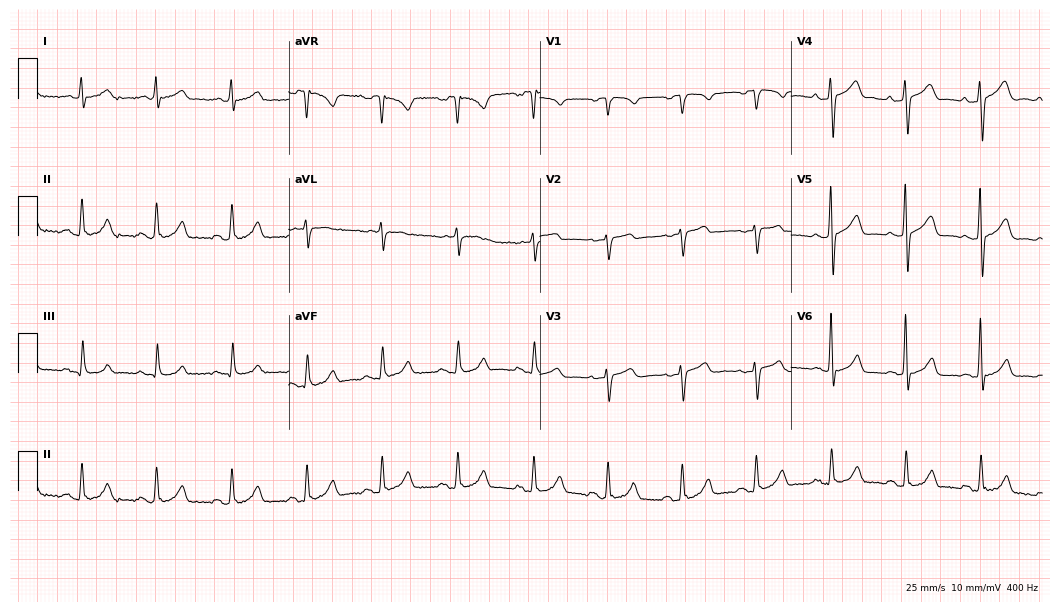
ECG — a 66-year-old male patient. Screened for six findings — first-degree AV block, right bundle branch block, left bundle branch block, sinus bradycardia, atrial fibrillation, sinus tachycardia — none is recorded.